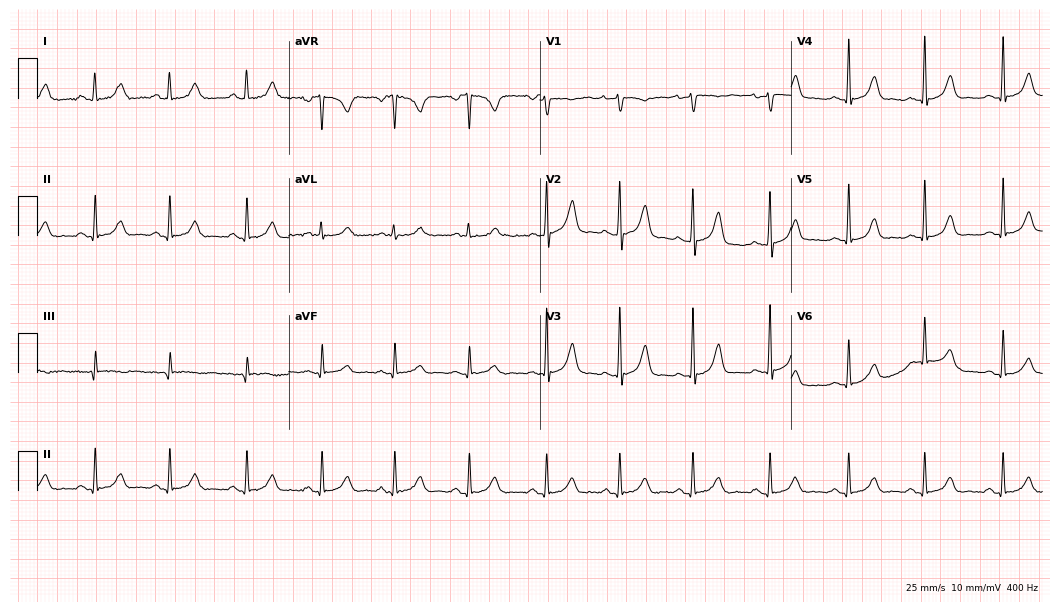
ECG (10.2-second recording at 400 Hz) — a 34-year-old woman. Labelled as a normal ECG.